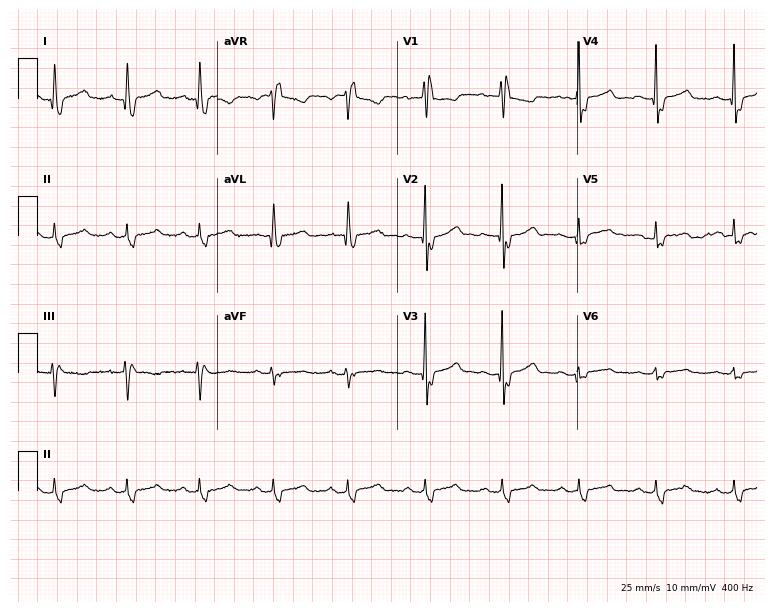
Standard 12-lead ECG recorded from a man, 51 years old (7.3-second recording at 400 Hz). The tracing shows right bundle branch block (RBBB).